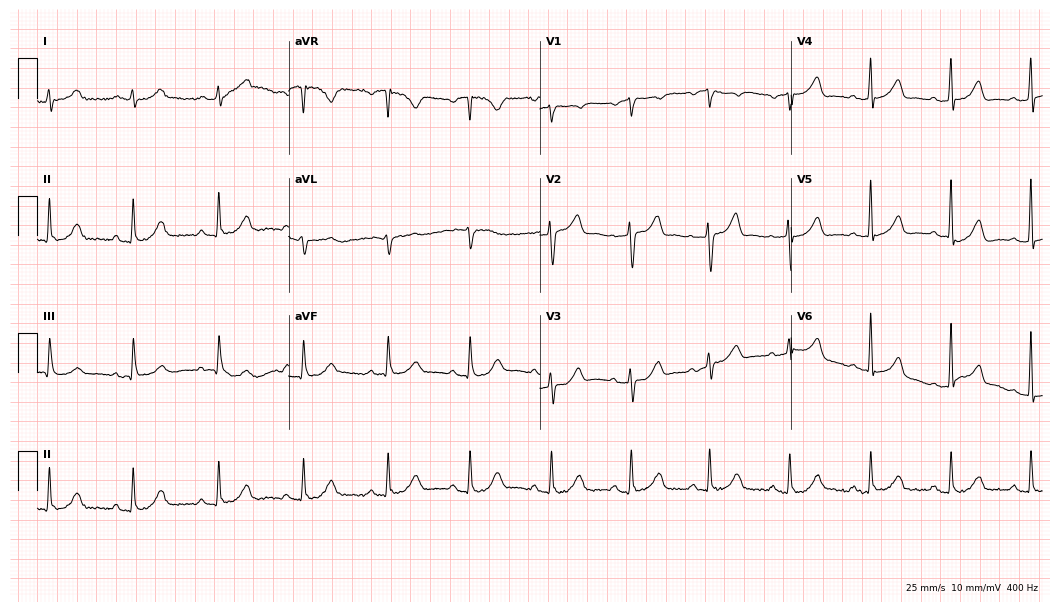
12-lead ECG from a male, 62 years old. Labelled as a normal ECG.